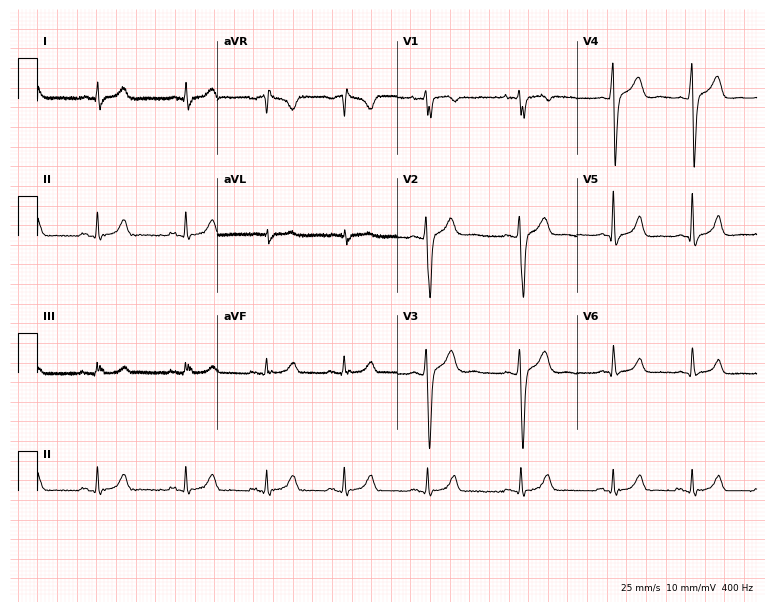
Resting 12-lead electrocardiogram (7.3-second recording at 400 Hz). Patient: a 24-year-old man. Read as a normal ECG.